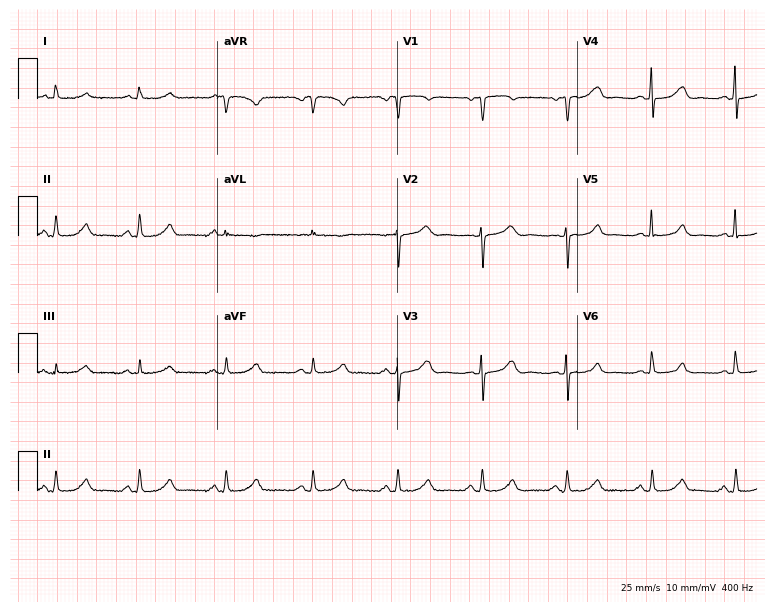
Resting 12-lead electrocardiogram. Patient: a woman, 59 years old. None of these six findings is recorded: first-degree AV block, right bundle branch block, left bundle branch block, sinus bradycardia, atrial fibrillation, sinus tachycardia.